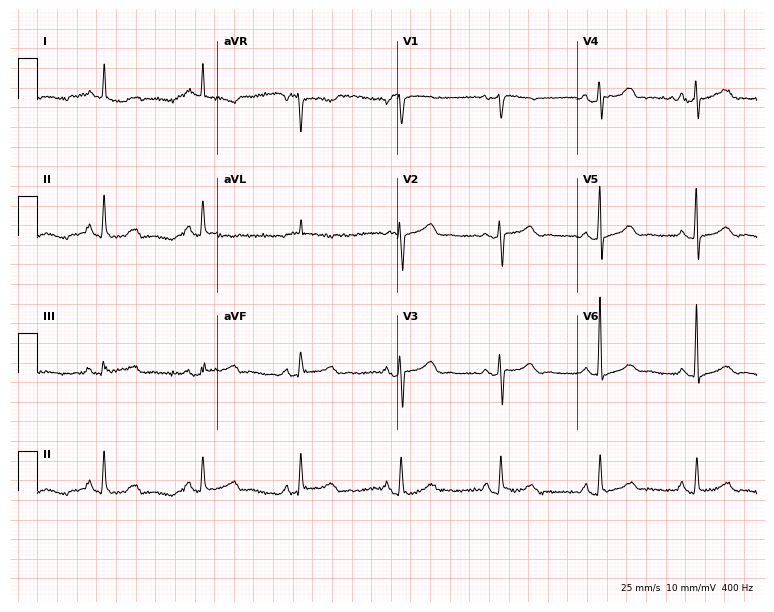
Electrocardiogram (7.3-second recording at 400 Hz), a woman, 78 years old. Overall reading on record: normal ECG.